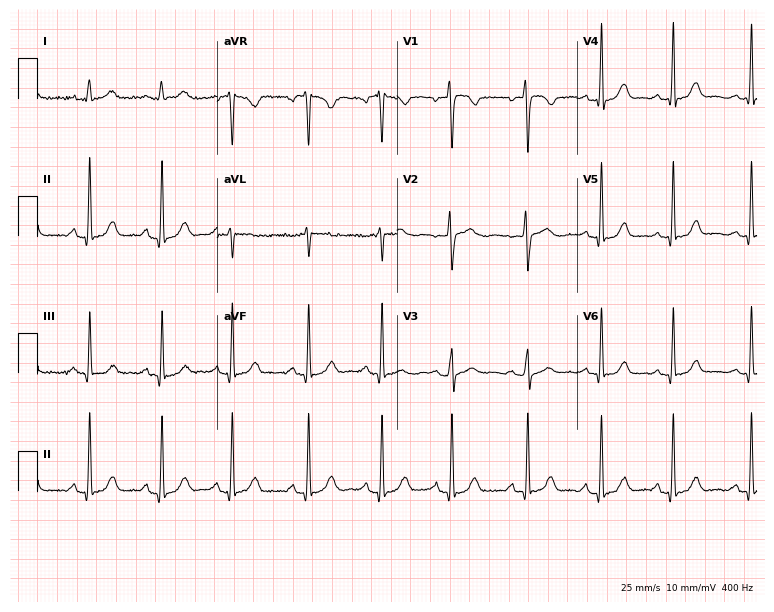
12-lead ECG (7.3-second recording at 400 Hz) from a woman, 37 years old. Labelled as a normal ECG.